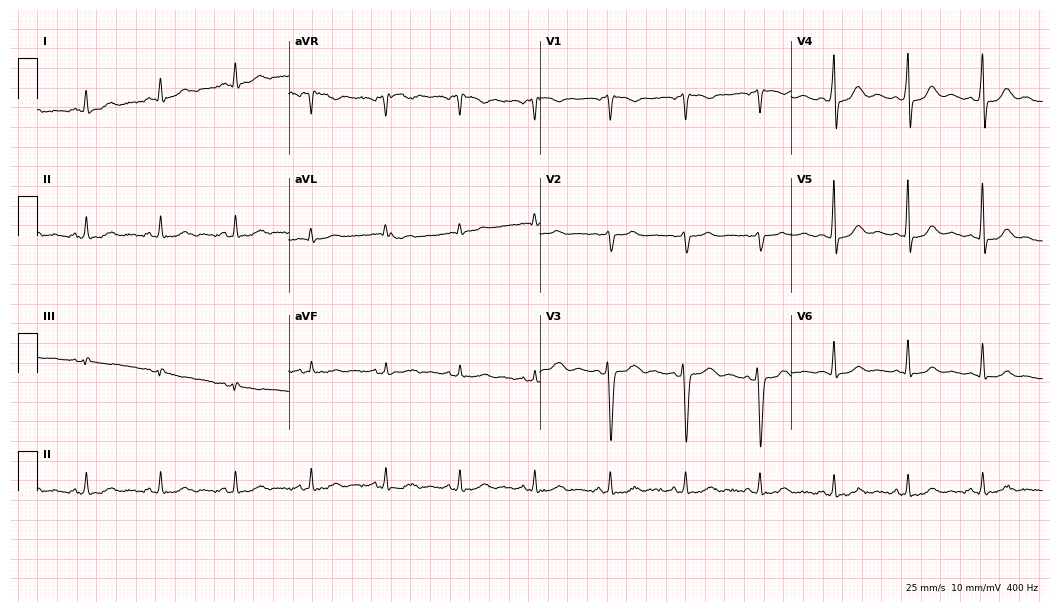
Resting 12-lead electrocardiogram. Patient: a 45-year-old male. Read as a normal ECG.